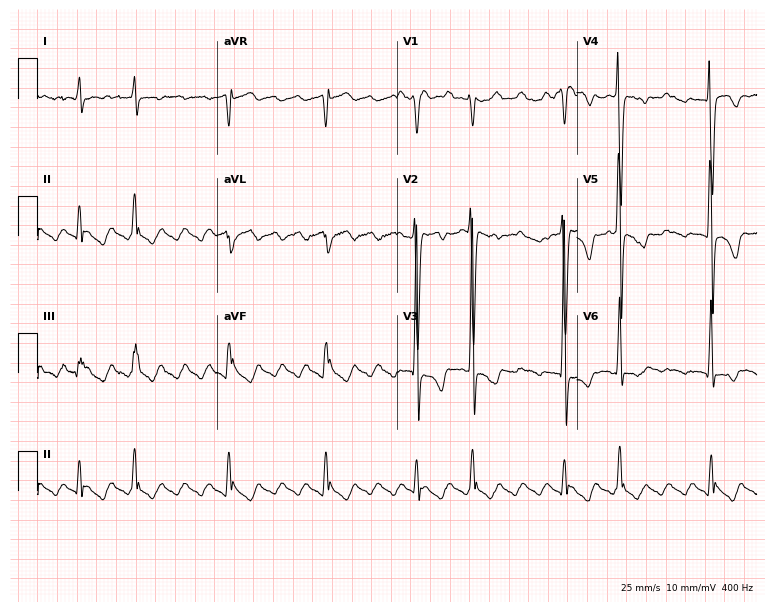
12-lead ECG from a 54-year-old male. Screened for six findings — first-degree AV block, right bundle branch block, left bundle branch block, sinus bradycardia, atrial fibrillation, sinus tachycardia — none is recorded.